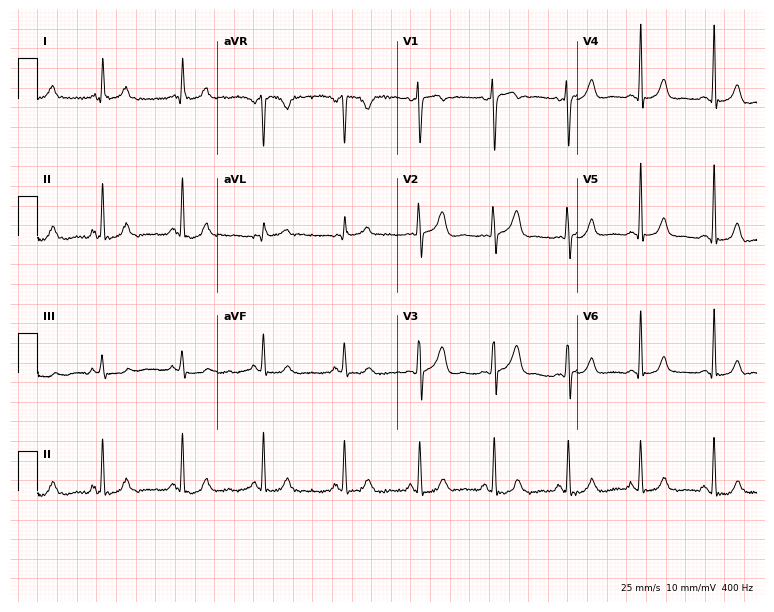
Electrocardiogram (7.3-second recording at 400 Hz), a 27-year-old female. Overall reading on record: normal ECG.